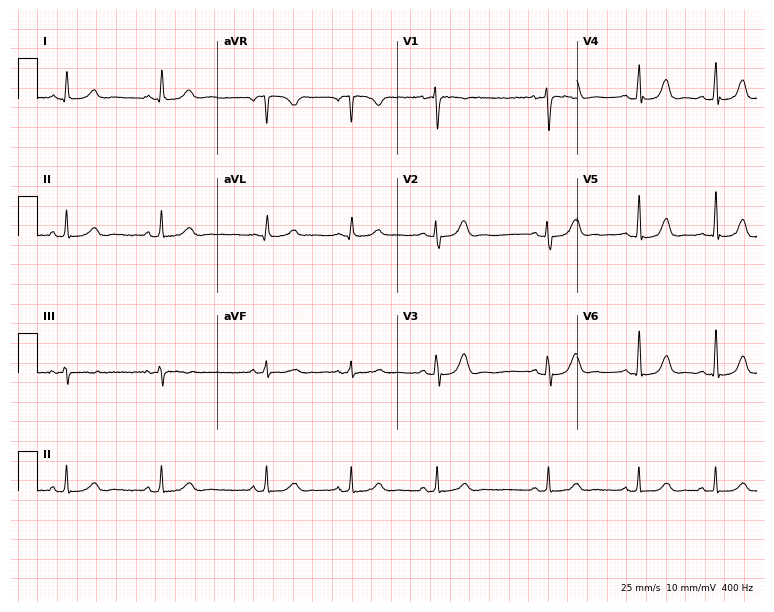
Standard 12-lead ECG recorded from a 28-year-old female (7.3-second recording at 400 Hz). Read as a normal ECG.